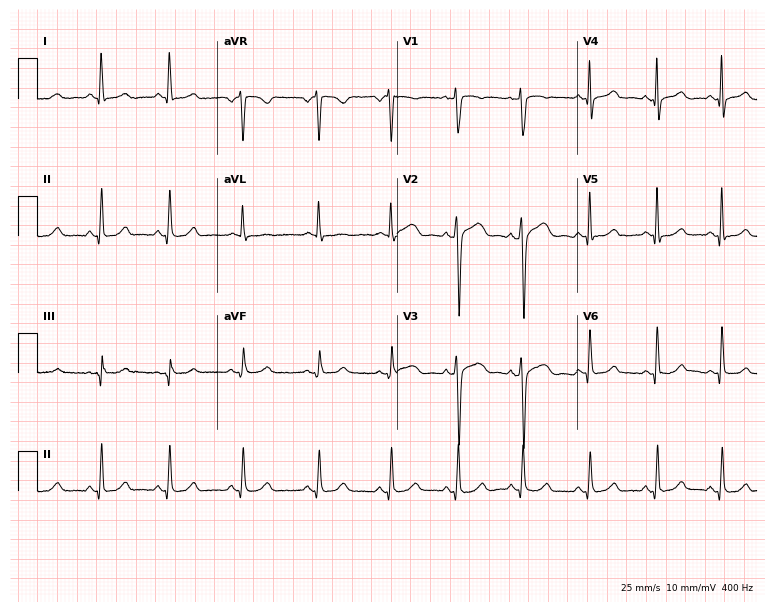
Electrocardiogram, a woman, 29 years old. Overall reading on record: normal ECG.